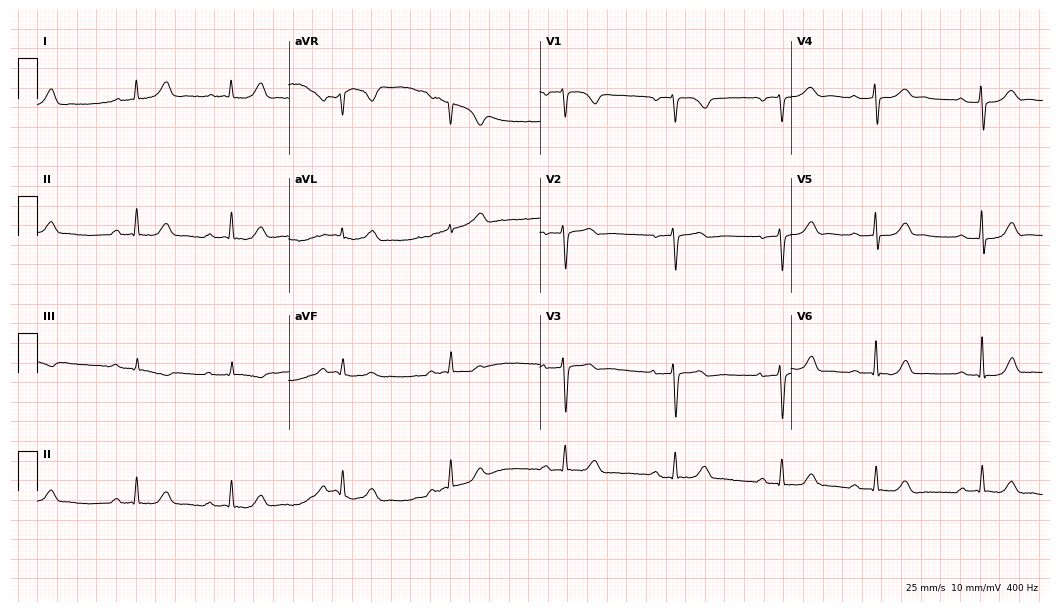
ECG — a female, 73 years old. Screened for six findings — first-degree AV block, right bundle branch block, left bundle branch block, sinus bradycardia, atrial fibrillation, sinus tachycardia — none is recorded. Findings outside these six are not listed.